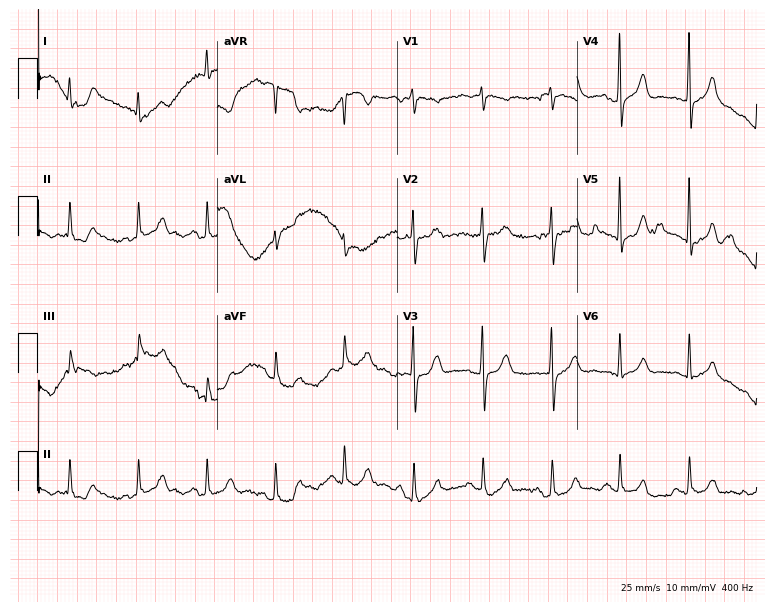
ECG — a male, 60 years old. Screened for six findings — first-degree AV block, right bundle branch block (RBBB), left bundle branch block (LBBB), sinus bradycardia, atrial fibrillation (AF), sinus tachycardia — none is recorded.